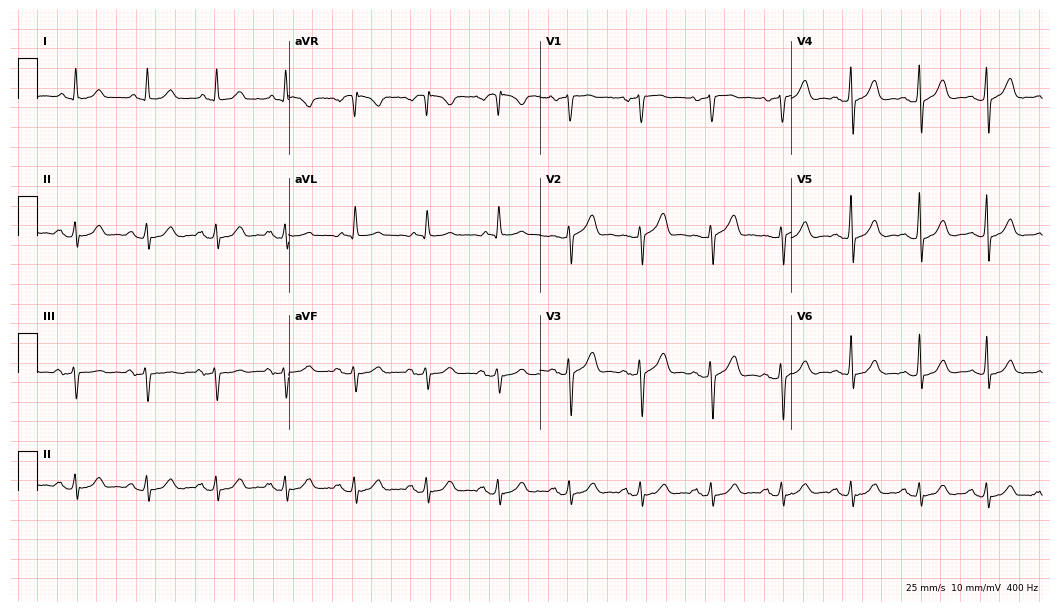
Electrocardiogram, a man, 84 years old. Overall reading on record: normal ECG.